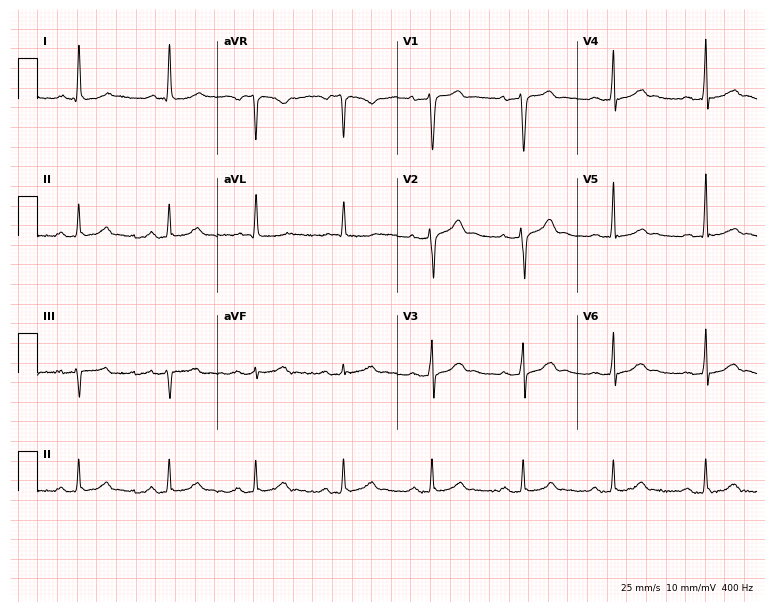
Resting 12-lead electrocardiogram. Patient: a male, 55 years old. Read as a normal ECG.